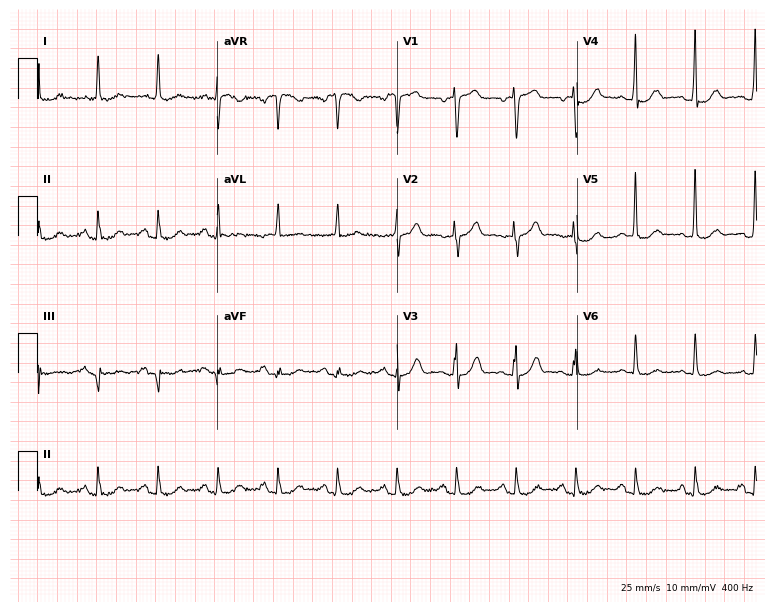
Electrocardiogram (7.3-second recording at 400 Hz), a 65-year-old woman. Of the six screened findings (first-degree AV block, right bundle branch block, left bundle branch block, sinus bradycardia, atrial fibrillation, sinus tachycardia), none is recorded.